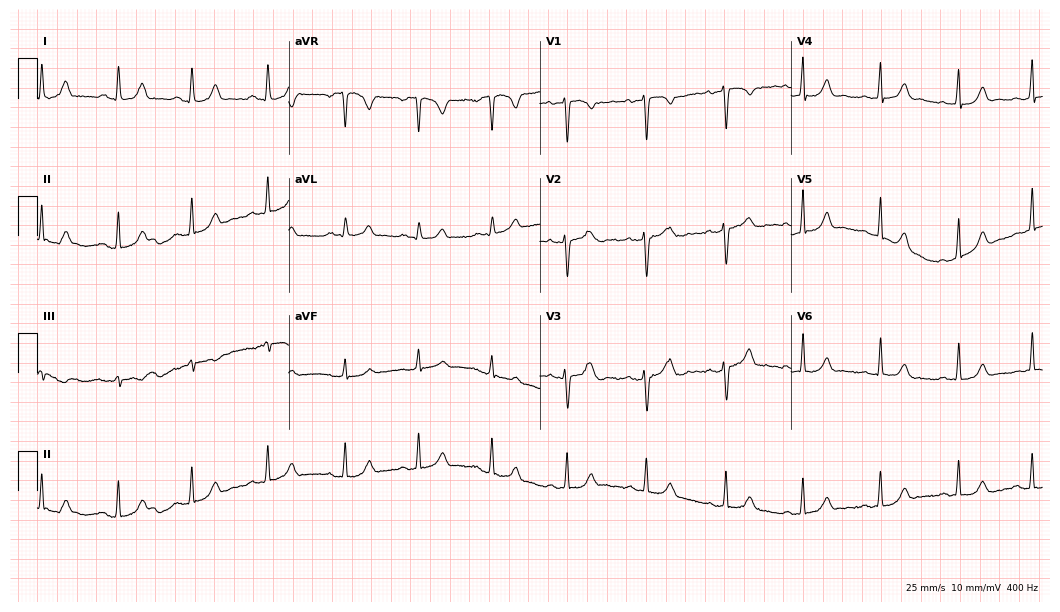
Electrocardiogram, a 20-year-old female patient. Overall reading on record: normal ECG.